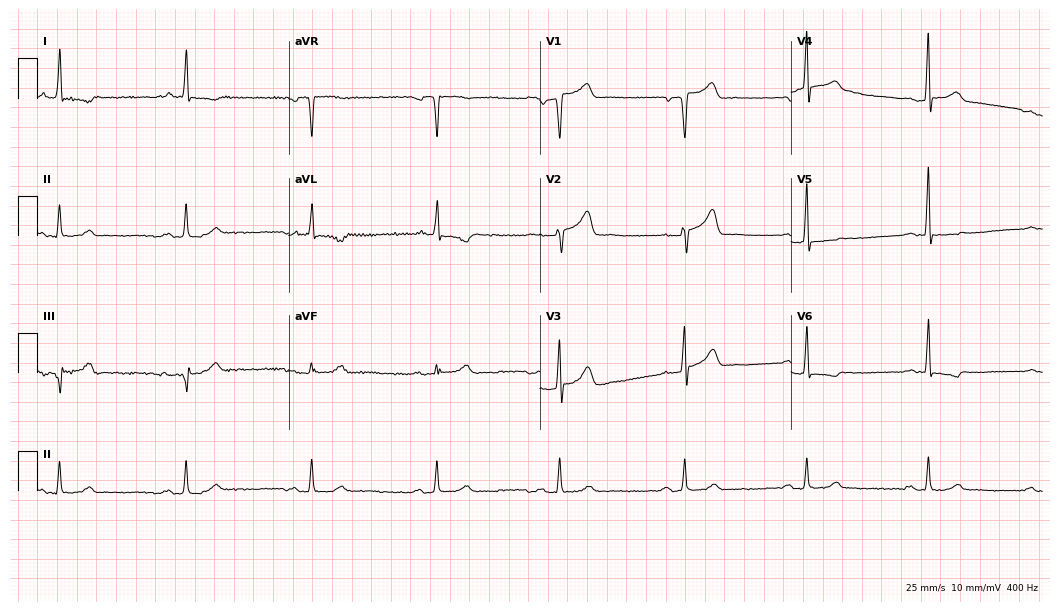
Resting 12-lead electrocardiogram (10.2-second recording at 400 Hz). Patient: a male, 70 years old. None of these six findings is recorded: first-degree AV block, right bundle branch block (RBBB), left bundle branch block (LBBB), sinus bradycardia, atrial fibrillation (AF), sinus tachycardia.